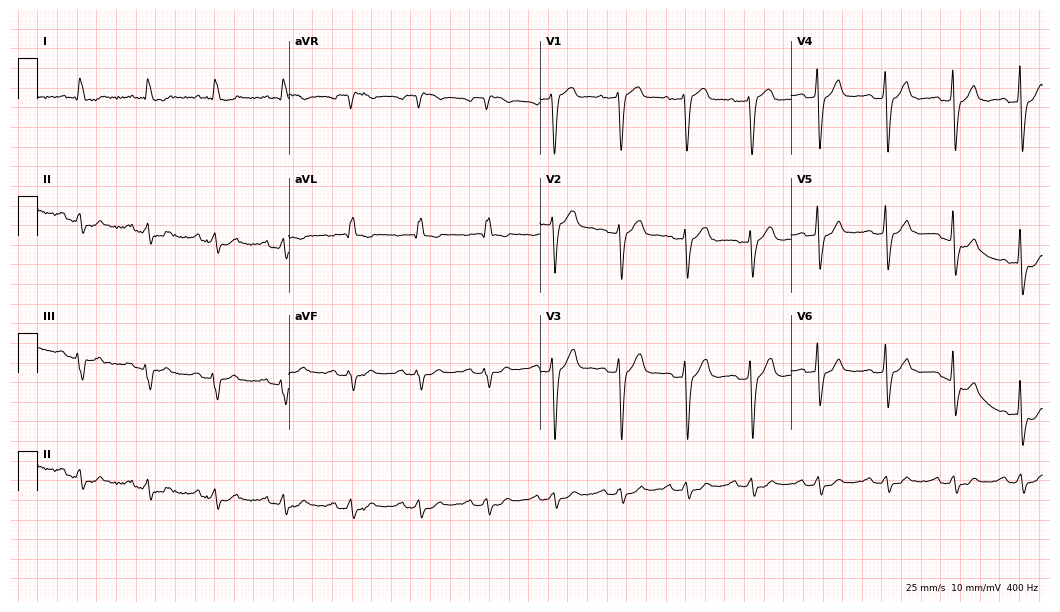
12-lead ECG (10.2-second recording at 400 Hz) from an 80-year-old male. Screened for six findings — first-degree AV block, right bundle branch block, left bundle branch block, sinus bradycardia, atrial fibrillation, sinus tachycardia — none is recorded. Only these six findings were labelled.